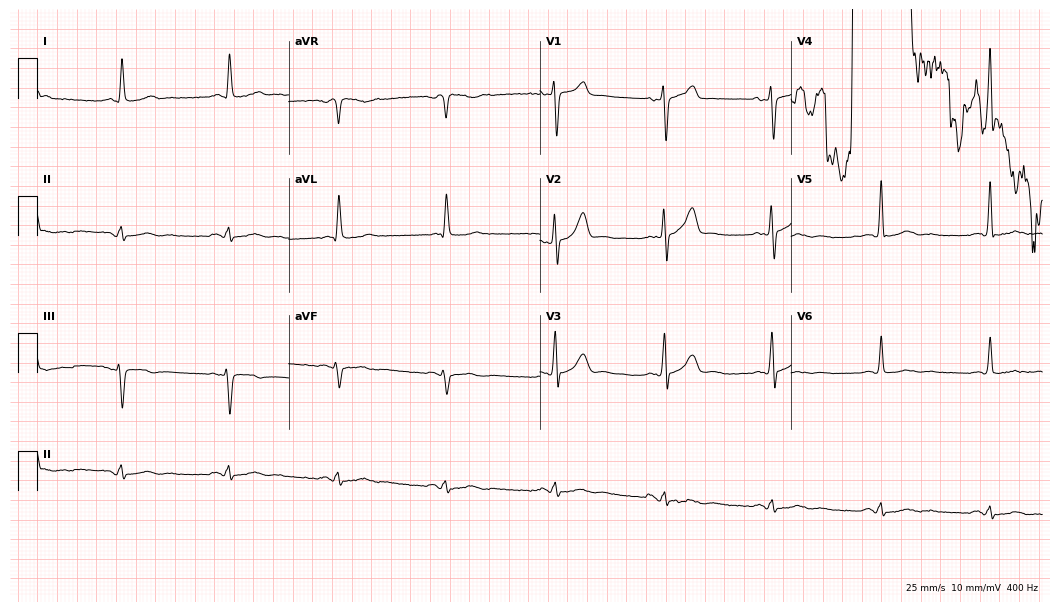
Standard 12-lead ECG recorded from a male patient, 83 years old. None of these six findings is recorded: first-degree AV block, right bundle branch block, left bundle branch block, sinus bradycardia, atrial fibrillation, sinus tachycardia. Findings outside these six are not listed.